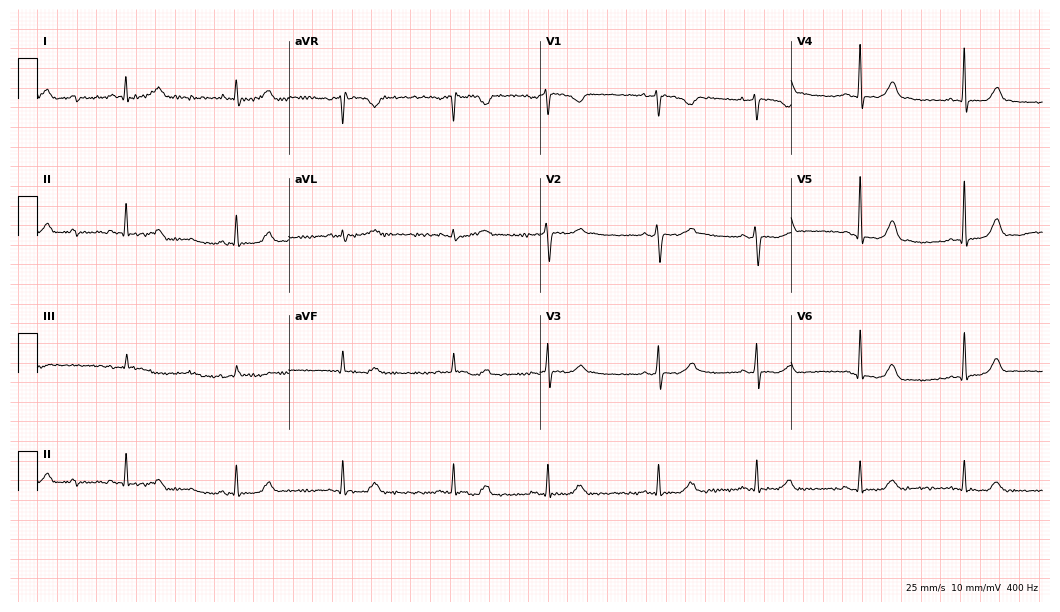
12-lead ECG (10.2-second recording at 400 Hz) from a 26-year-old woman. Screened for six findings — first-degree AV block, right bundle branch block, left bundle branch block, sinus bradycardia, atrial fibrillation, sinus tachycardia — none is recorded. Other findings, if any, are not listed.